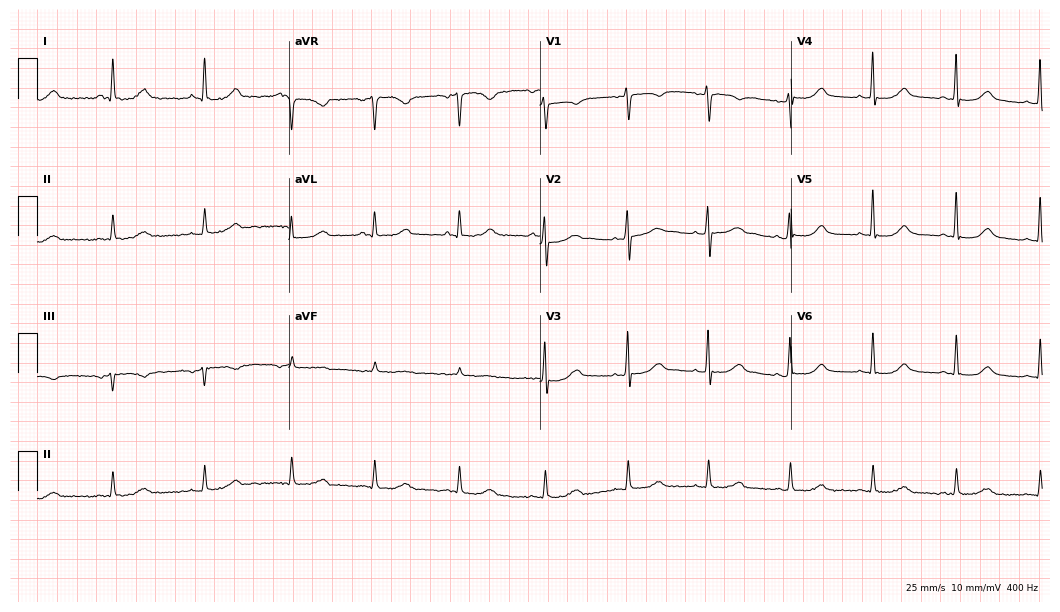
12-lead ECG from a 54-year-old woman (10.2-second recording at 400 Hz). Recorded interpretation: within normal limits.